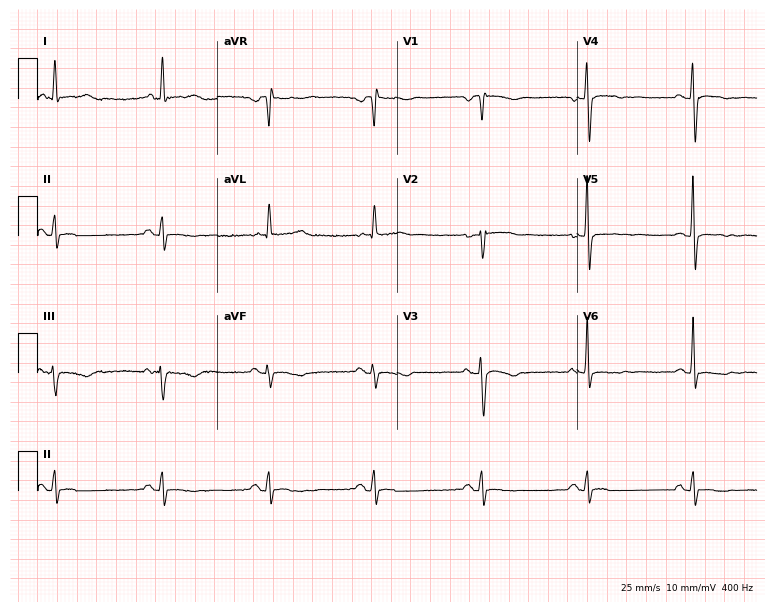
Standard 12-lead ECG recorded from a female, 53 years old. None of these six findings is recorded: first-degree AV block, right bundle branch block, left bundle branch block, sinus bradycardia, atrial fibrillation, sinus tachycardia.